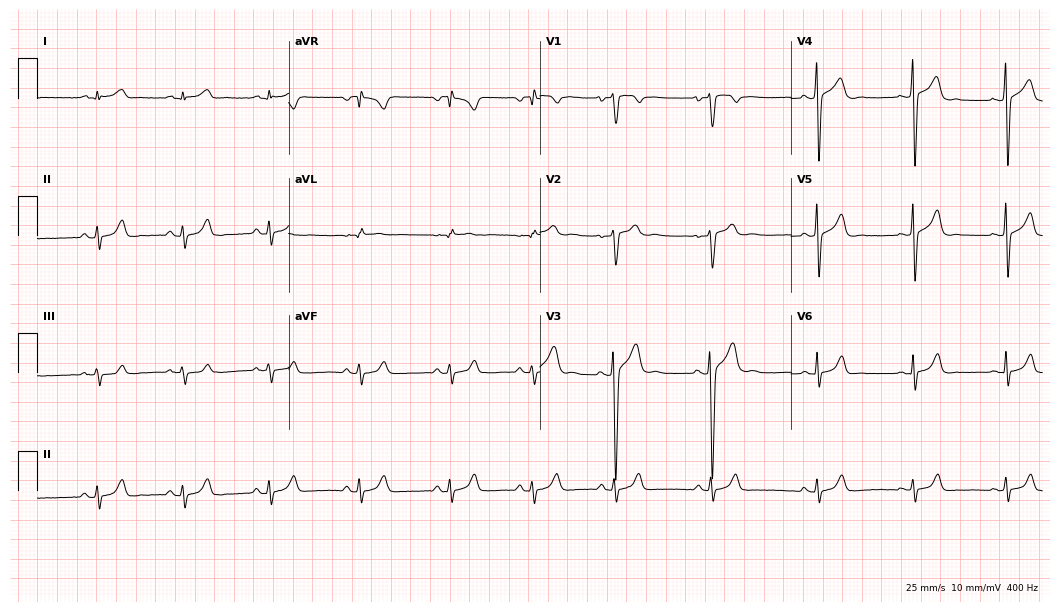
Resting 12-lead electrocardiogram (10.2-second recording at 400 Hz). Patient: a male, 18 years old. Read as a normal ECG.